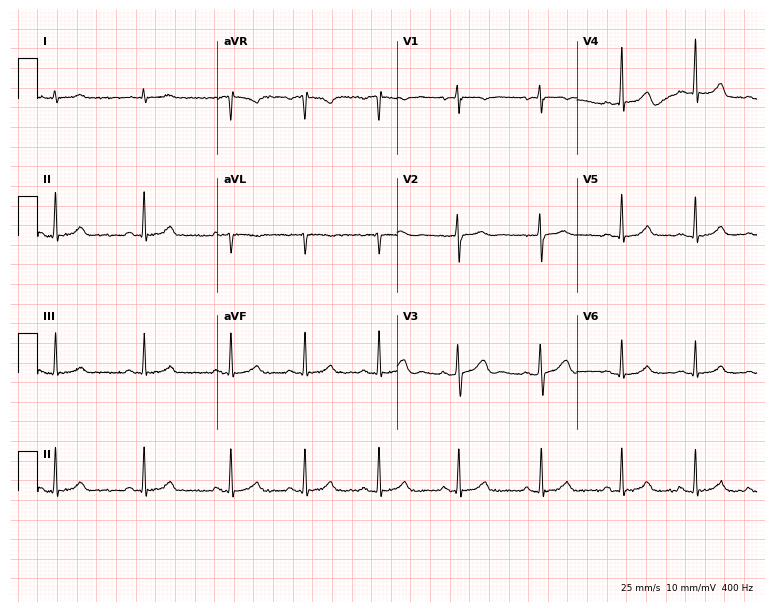
12-lead ECG (7.3-second recording at 400 Hz) from a female, 18 years old. Labelled as a normal ECG.